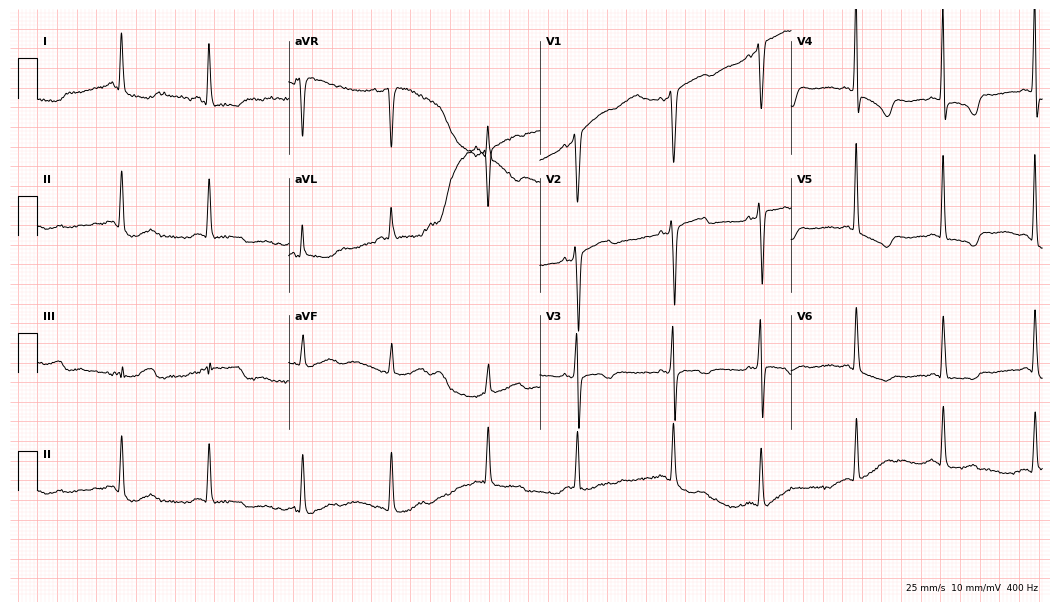
Resting 12-lead electrocardiogram. Patient: a 49-year-old woman. None of these six findings is recorded: first-degree AV block, right bundle branch block, left bundle branch block, sinus bradycardia, atrial fibrillation, sinus tachycardia.